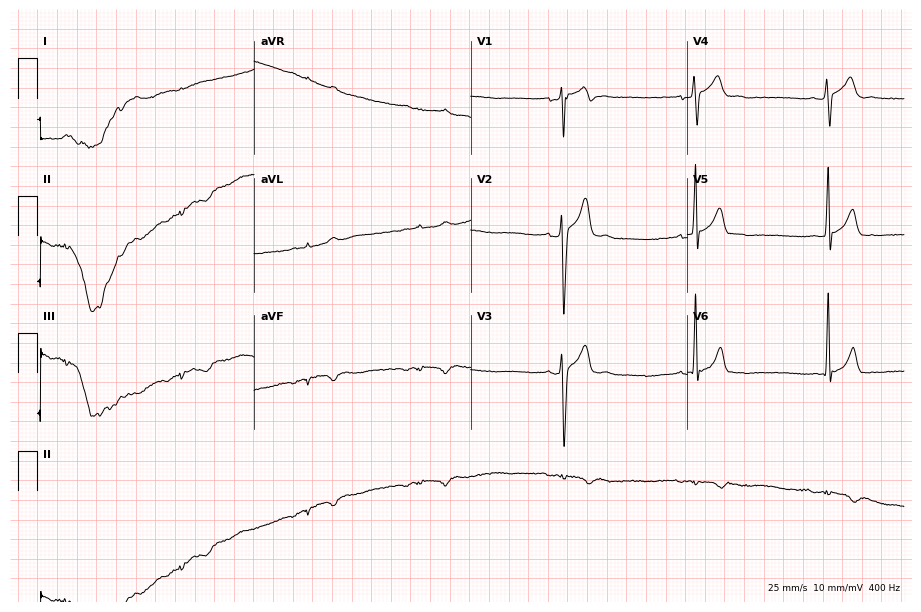
12-lead ECG (8.8-second recording at 400 Hz) from a man, 21 years old. Screened for six findings — first-degree AV block, right bundle branch block, left bundle branch block, sinus bradycardia, atrial fibrillation, sinus tachycardia — none is recorded.